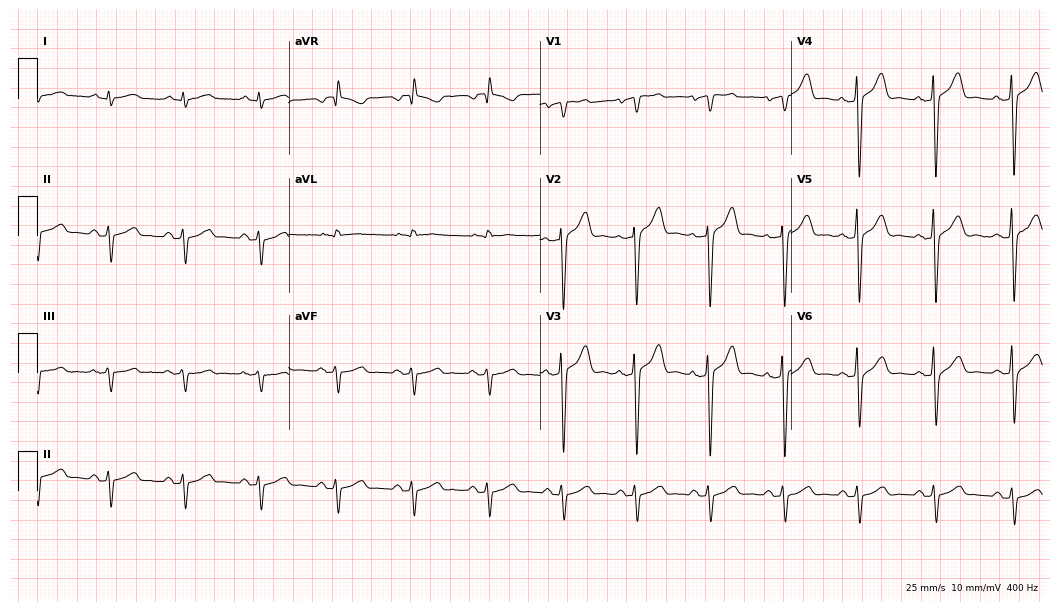
Standard 12-lead ECG recorded from a male, 49 years old. None of these six findings is recorded: first-degree AV block, right bundle branch block, left bundle branch block, sinus bradycardia, atrial fibrillation, sinus tachycardia. Findings outside these six are not listed.